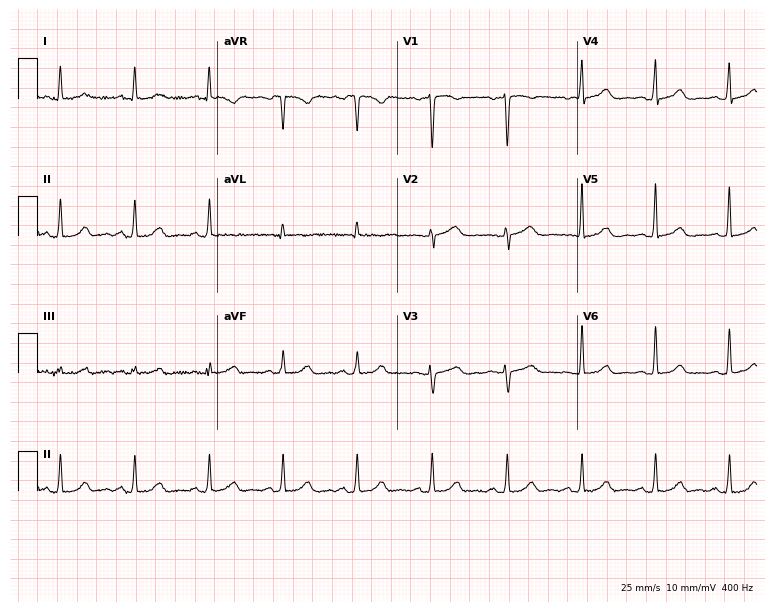
ECG (7.3-second recording at 400 Hz) — a 52-year-old female patient. Labelled as a normal ECG.